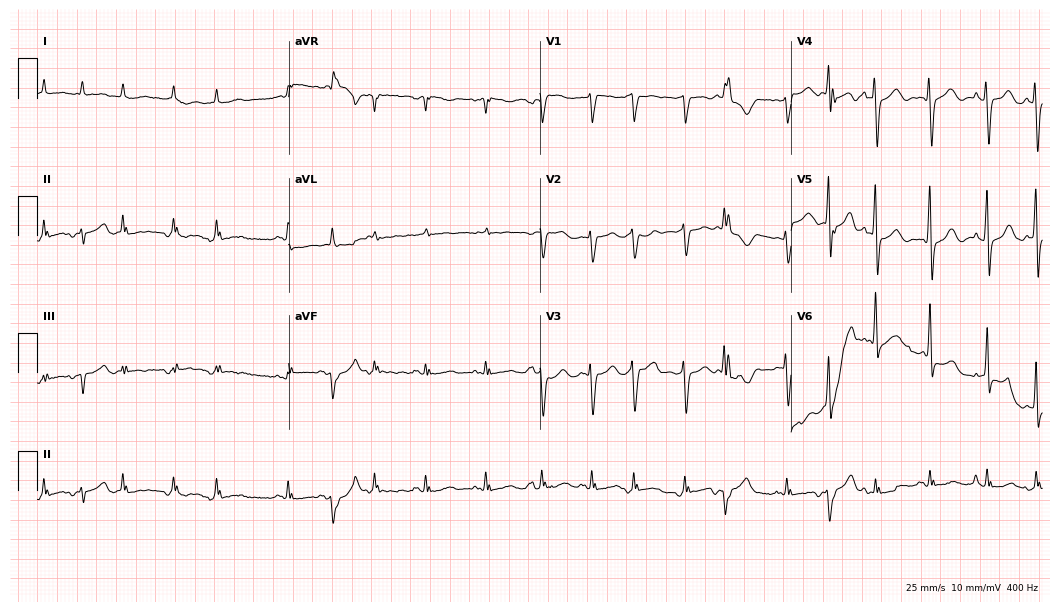
Standard 12-lead ECG recorded from a 75-year-old man. The tracing shows atrial fibrillation (AF), sinus tachycardia (a sinus rate of 100 beats per minute or more).